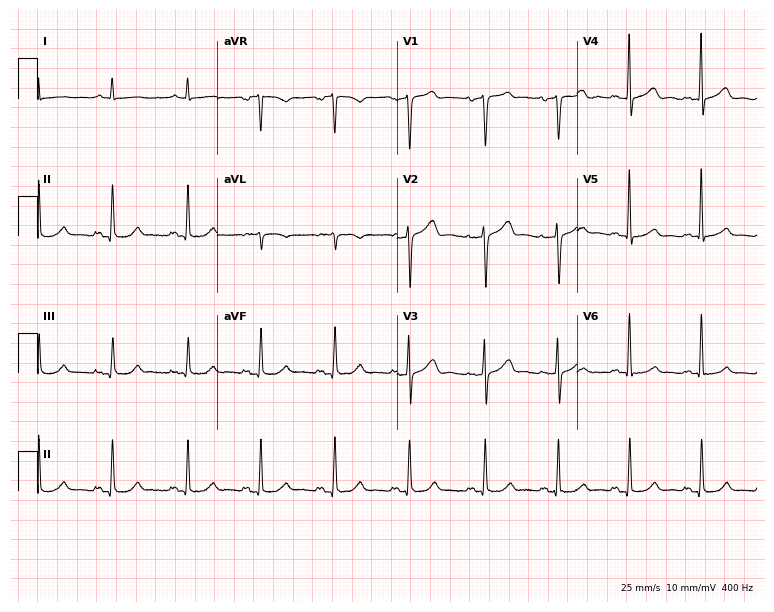
12-lead ECG (7.3-second recording at 400 Hz) from a male, 66 years old. Labelled as a normal ECG.